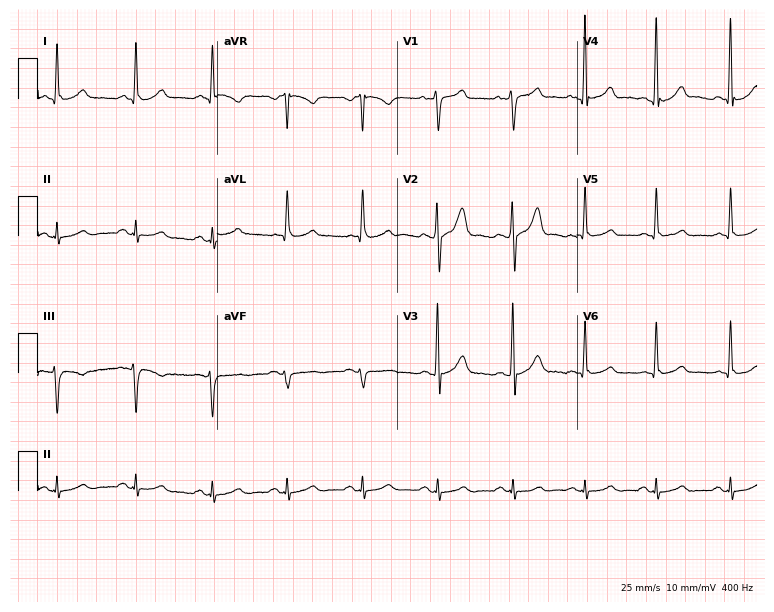
12-lead ECG from a 62-year-old male patient. Recorded interpretation: within normal limits.